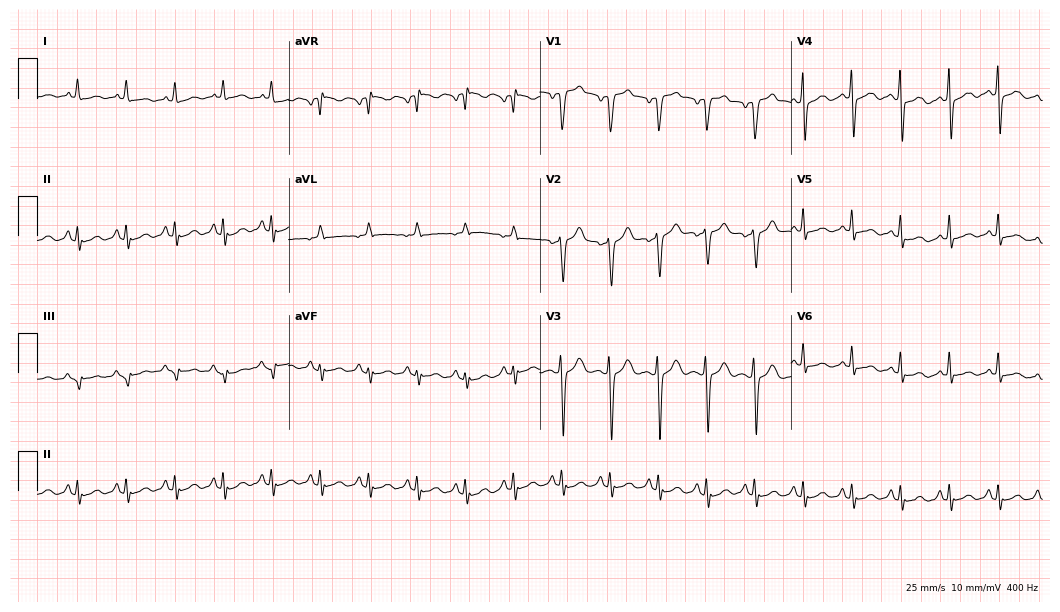
Electrocardiogram, a 60-year-old man. Of the six screened findings (first-degree AV block, right bundle branch block, left bundle branch block, sinus bradycardia, atrial fibrillation, sinus tachycardia), none is recorded.